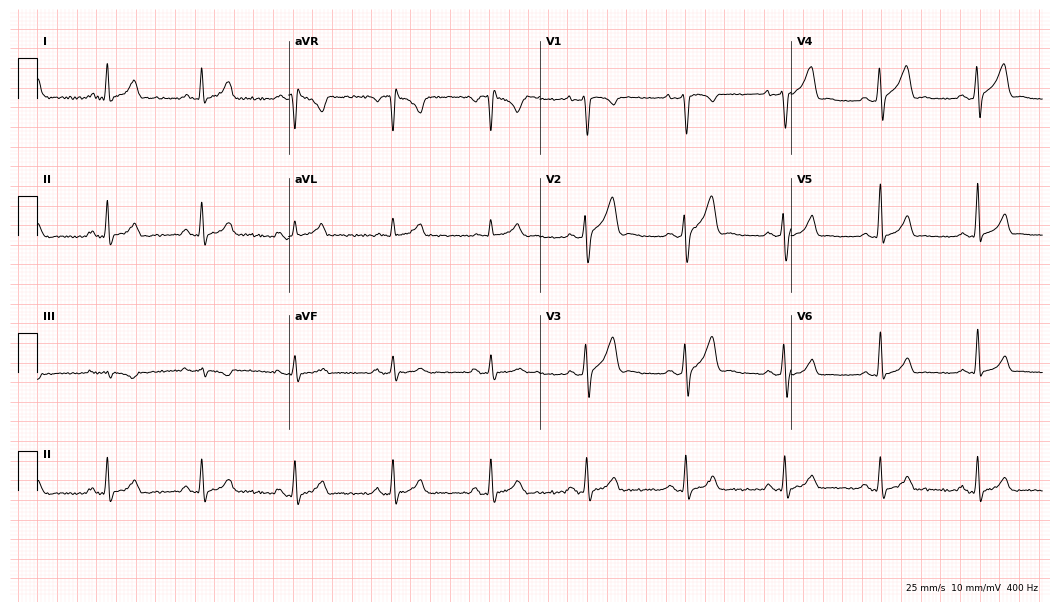
12-lead ECG from a 29-year-old man. Recorded interpretation: within normal limits.